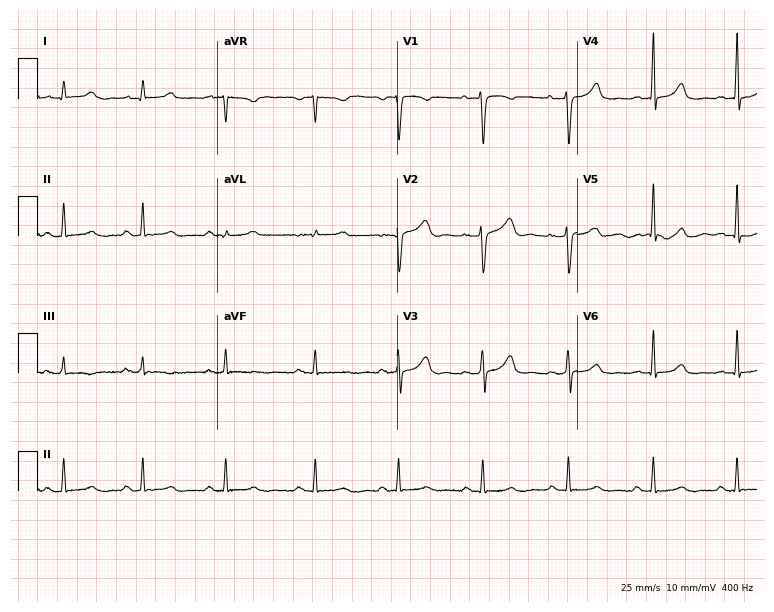
Resting 12-lead electrocardiogram (7.3-second recording at 400 Hz). Patient: a woman, 34 years old. Read as a normal ECG.